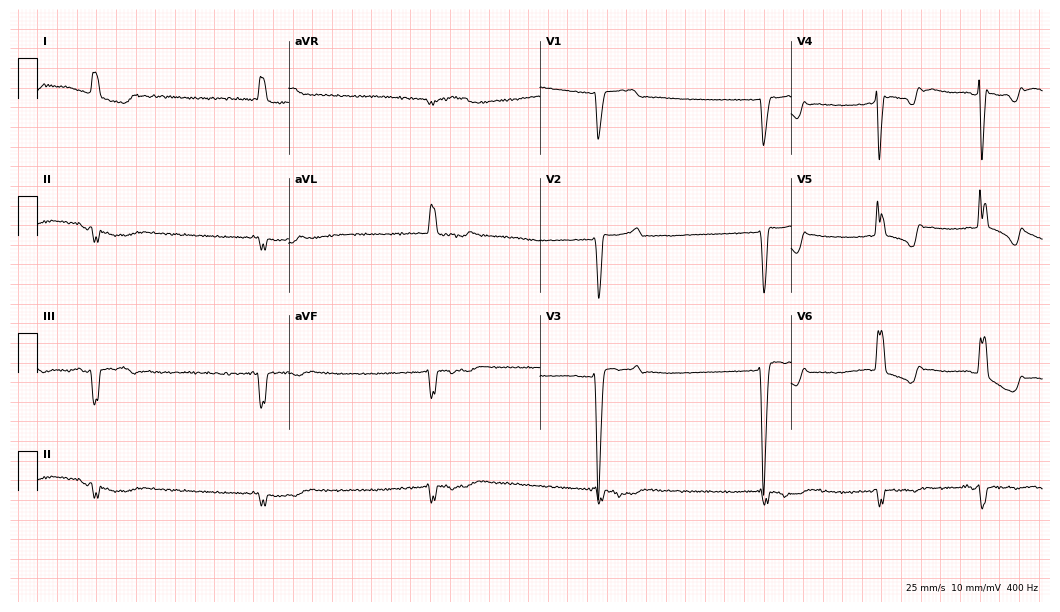
12-lead ECG from an 84-year-old female. Shows left bundle branch block (LBBB), atrial fibrillation (AF).